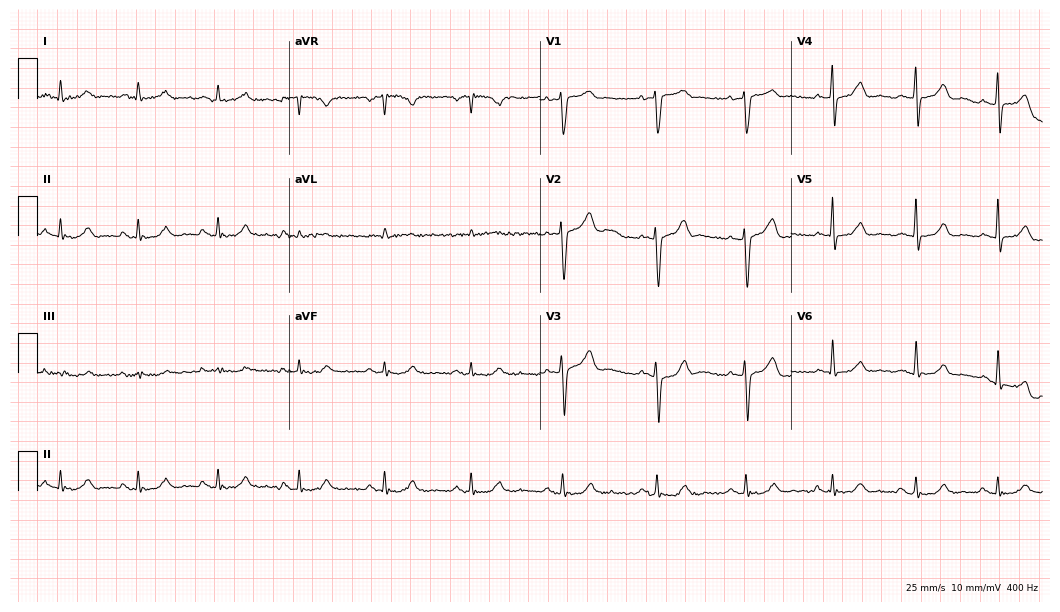
12-lead ECG (10.2-second recording at 400 Hz) from a 67-year-old man. Screened for six findings — first-degree AV block, right bundle branch block (RBBB), left bundle branch block (LBBB), sinus bradycardia, atrial fibrillation (AF), sinus tachycardia — none is recorded.